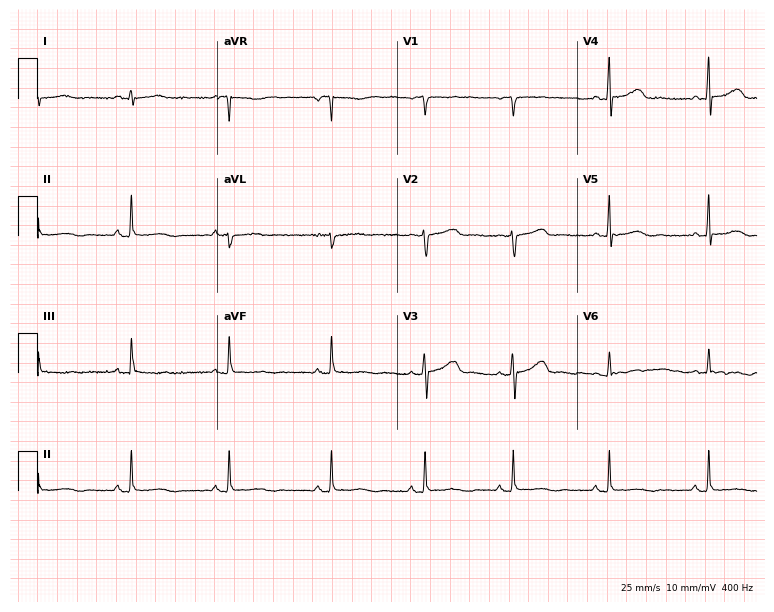
ECG — a 31-year-old woman. Screened for six findings — first-degree AV block, right bundle branch block, left bundle branch block, sinus bradycardia, atrial fibrillation, sinus tachycardia — none is recorded.